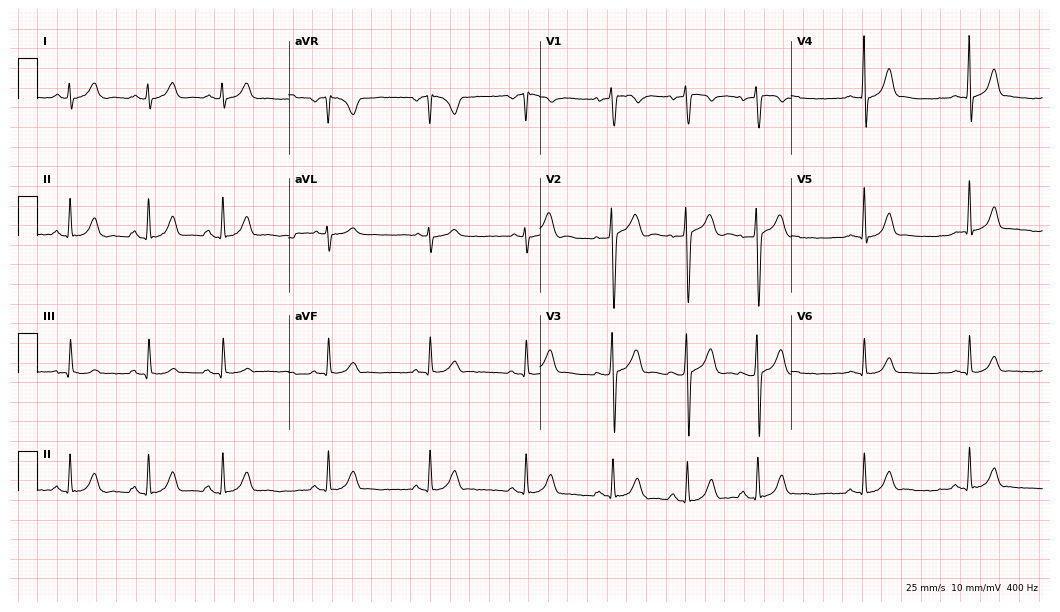
12-lead ECG from a man, 20 years old. Recorded interpretation: within normal limits.